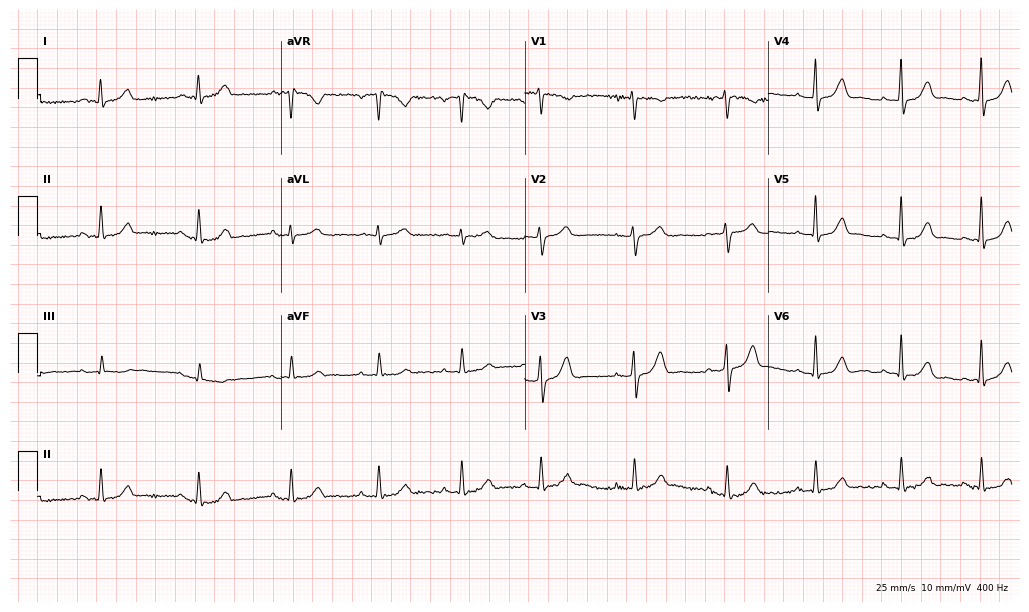
Standard 12-lead ECG recorded from a female patient, 37 years old (9.9-second recording at 400 Hz). Read as a normal ECG.